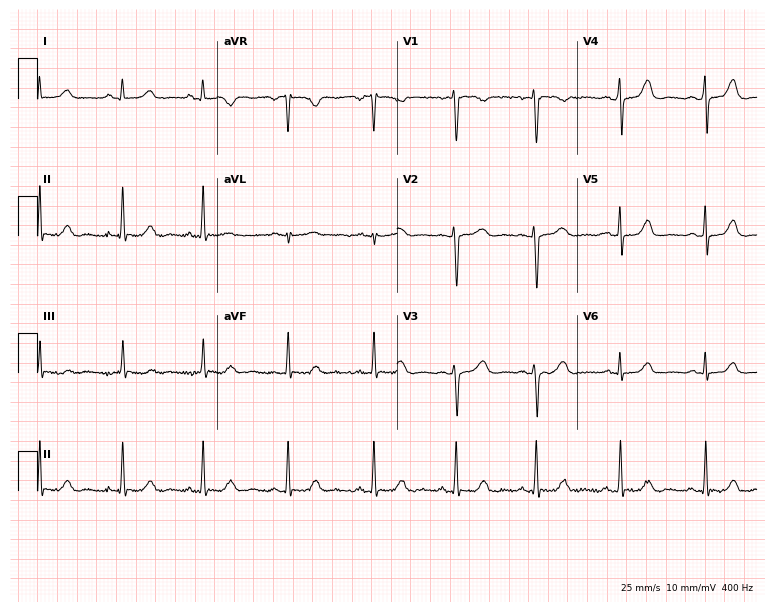
12-lead ECG from a female patient, 23 years old. No first-degree AV block, right bundle branch block, left bundle branch block, sinus bradycardia, atrial fibrillation or sinus tachycardia recorded for this tracing. Other findings, if any, are not listed.